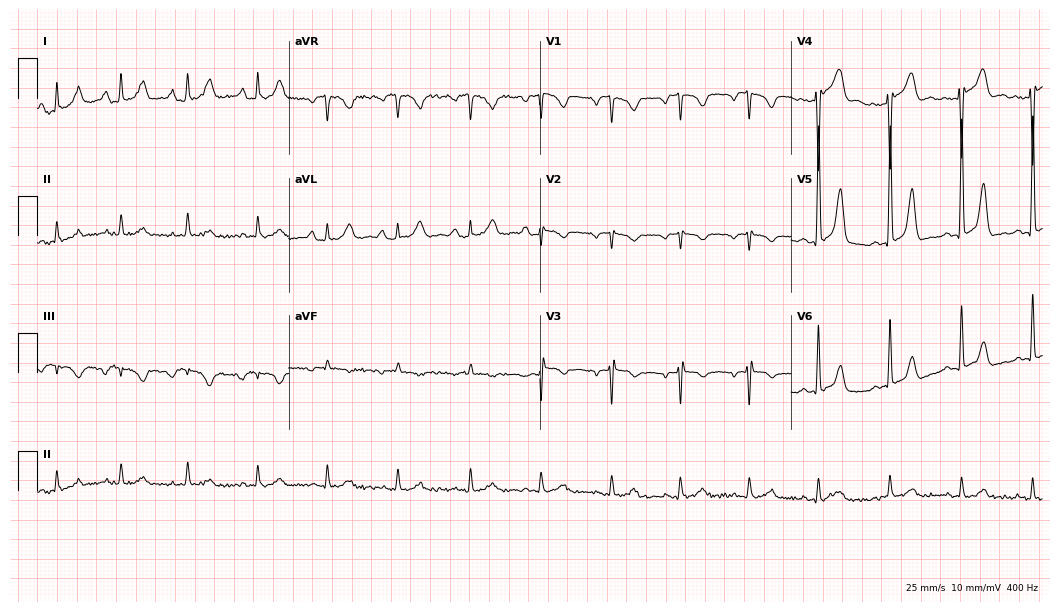
Resting 12-lead electrocardiogram. Patient: a 78-year-old female. None of these six findings is recorded: first-degree AV block, right bundle branch block, left bundle branch block, sinus bradycardia, atrial fibrillation, sinus tachycardia.